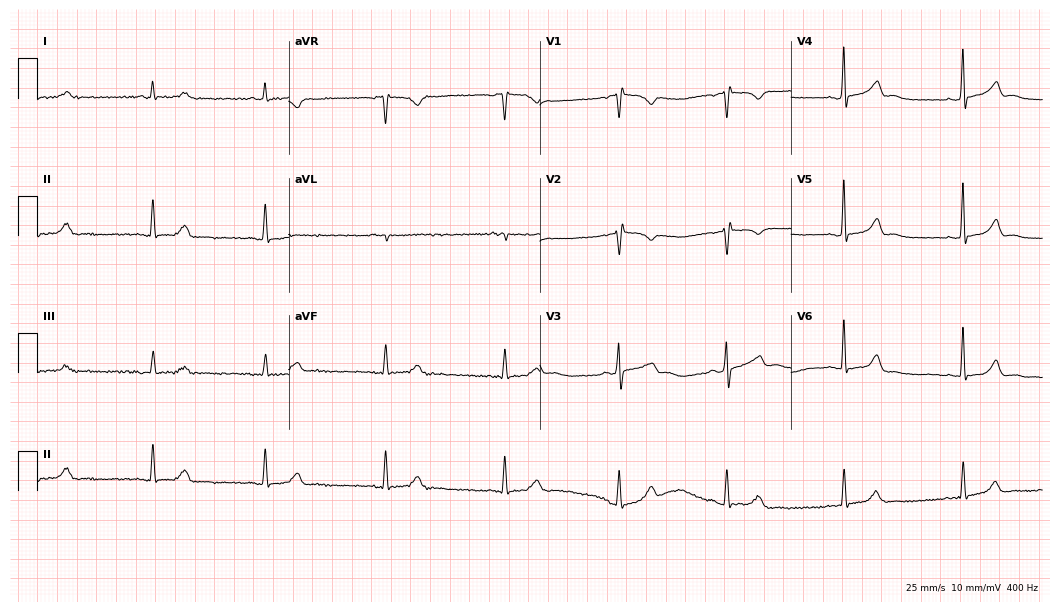
Electrocardiogram (10.2-second recording at 400 Hz), a female patient, 36 years old. Overall reading on record: normal ECG.